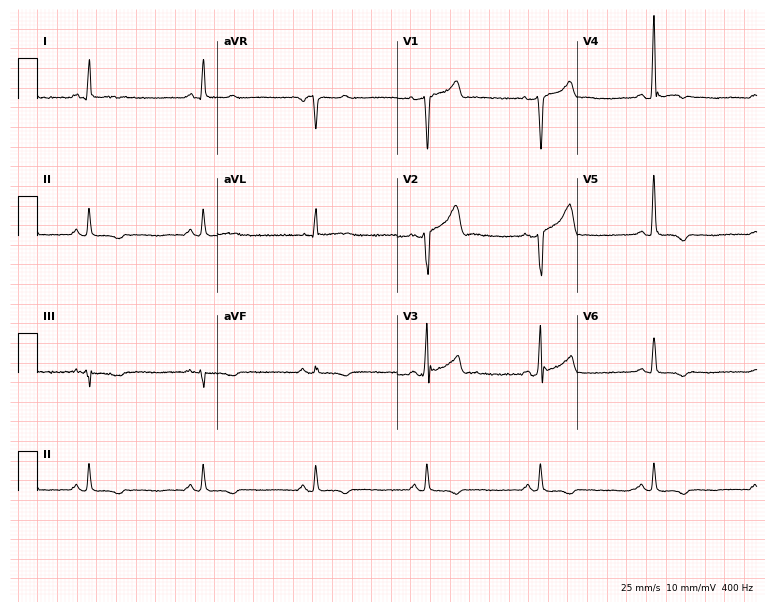
12-lead ECG from a 55-year-old man. Screened for six findings — first-degree AV block, right bundle branch block (RBBB), left bundle branch block (LBBB), sinus bradycardia, atrial fibrillation (AF), sinus tachycardia — none is recorded.